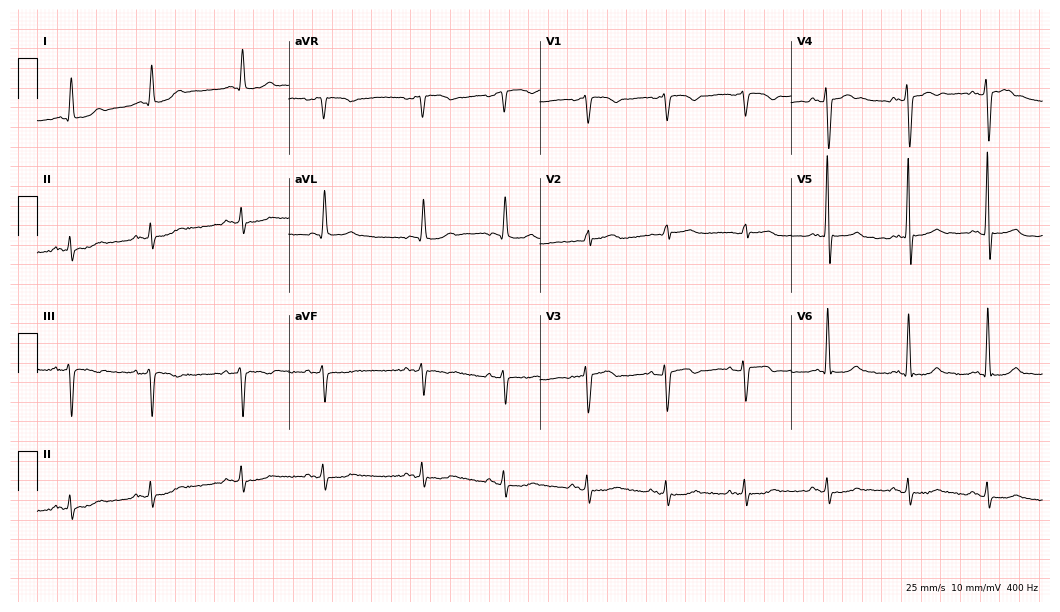
Resting 12-lead electrocardiogram. Patient: a 68-year-old female. None of these six findings is recorded: first-degree AV block, right bundle branch block, left bundle branch block, sinus bradycardia, atrial fibrillation, sinus tachycardia. Other findings, if any, are not listed.